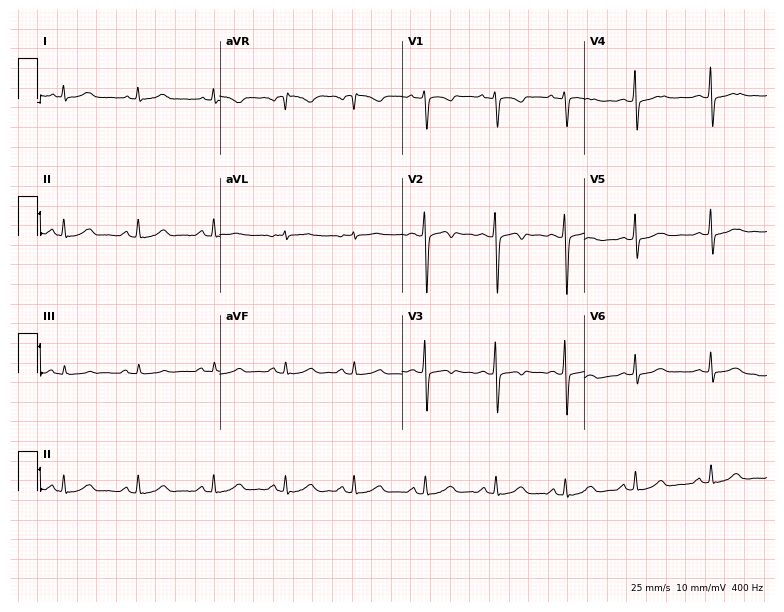
12-lead ECG from a woman, 20 years old (7.4-second recording at 400 Hz). Recorded interpretation: within normal limits.